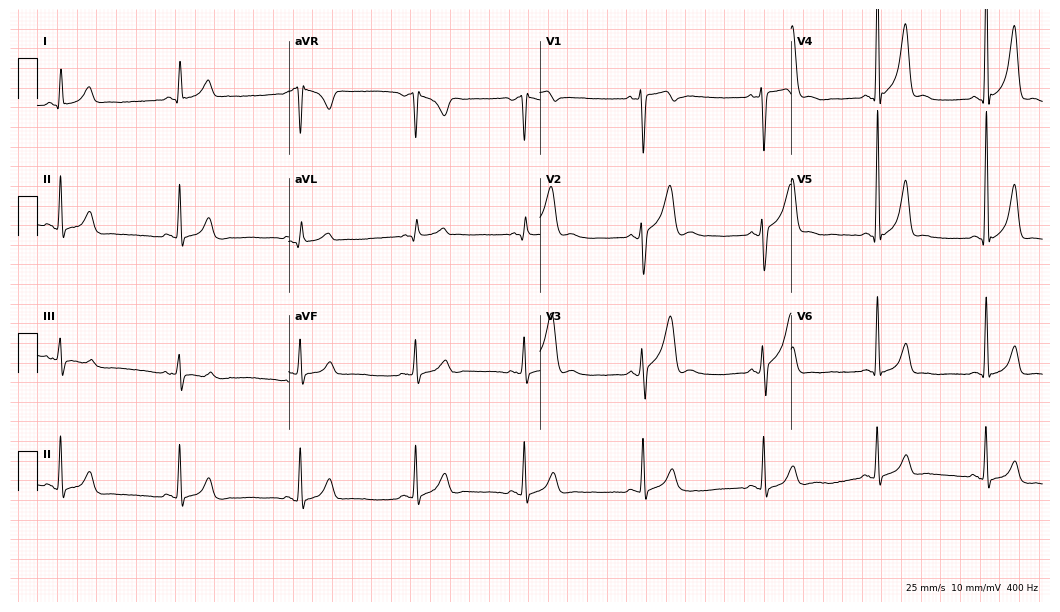
ECG — a male, 29 years old. Screened for six findings — first-degree AV block, right bundle branch block, left bundle branch block, sinus bradycardia, atrial fibrillation, sinus tachycardia — none is recorded. Findings outside these six are not listed.